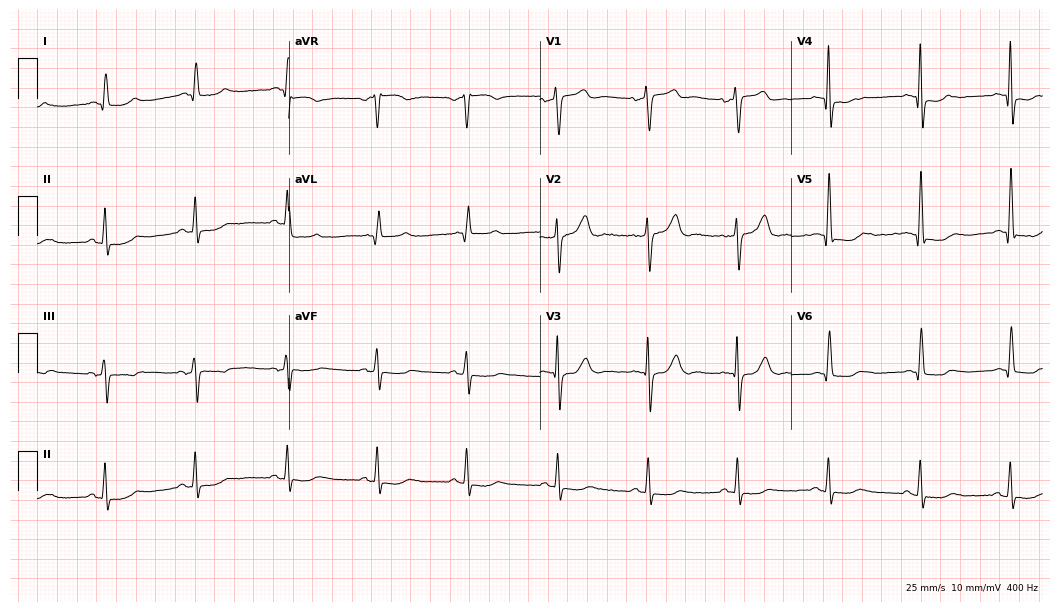
Electrocardiogram (10.2-second recording at 400 Hz), a woman, 82 years old. Of the six screened findings (first-degree AV block, right bundle branch block, left bundle branch block, sinus bradycardia, atrial fibrillation, sinus tachycardia), none is recorded.